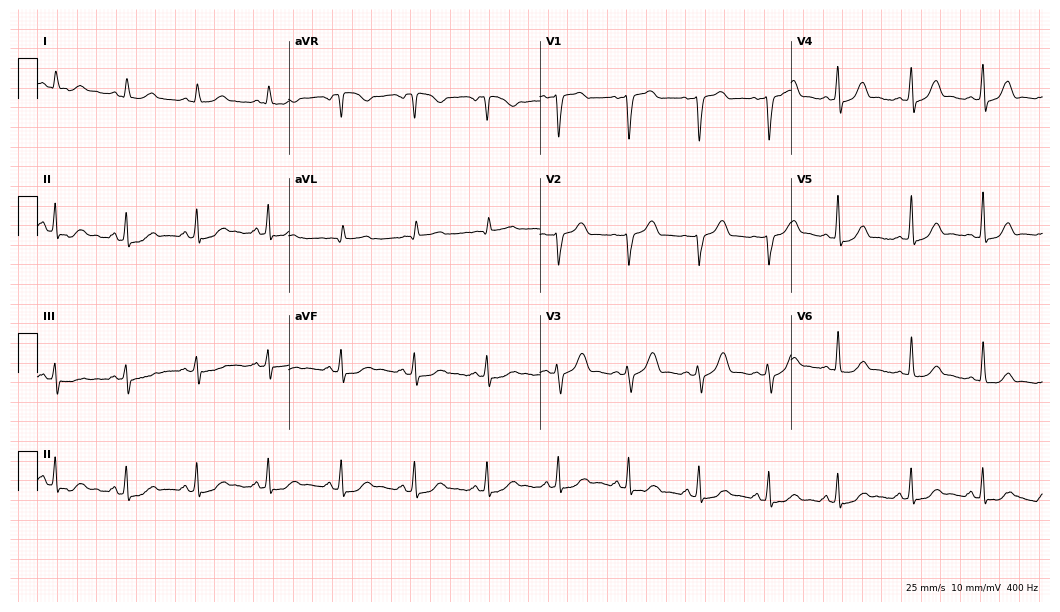
Resting 12-lead electrocardiogram (10.2-second recording at 400 Hz). Patient: a woman, 54 years old. None of these six findings is recorded: first-degree AV block, right bundle branch block, left bundle branch block, sinus bradycardia, atrial fibrillation, sinus tachycardia.